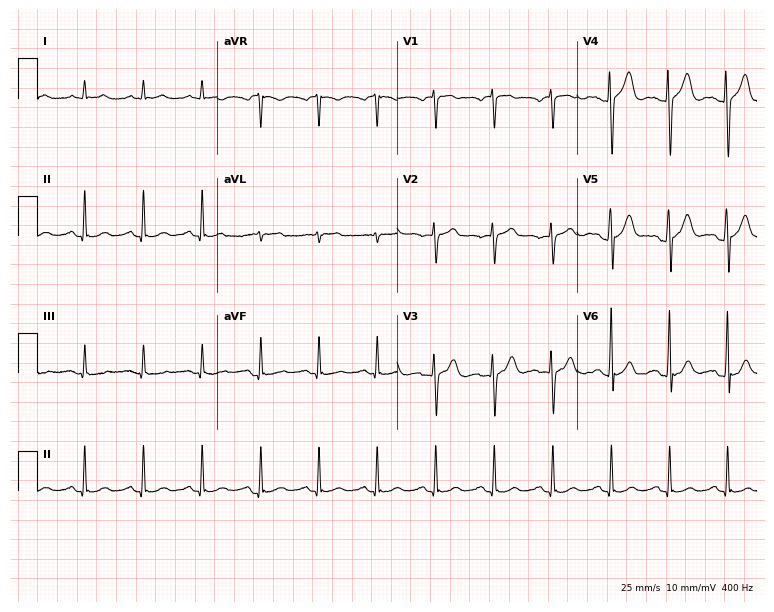
12-lead ECG from a male, 43 years old. Shows sinus tachycardia (a sinus rate of 100 beats per minute or more).